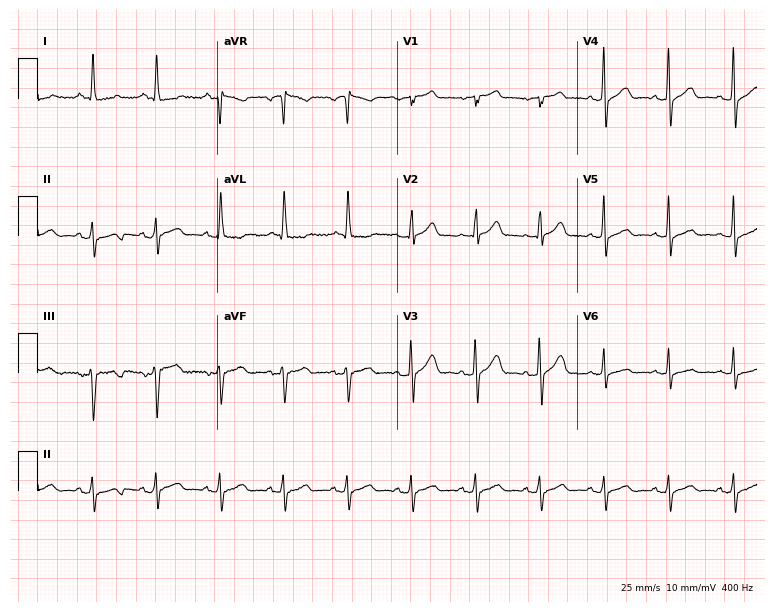
Resting 12-lead electrocardiogram. Patient: a 73-year-old male. None of these six findings is recorded: first-degree AV block, right bundle branch block, left bundle branch block, sinus bradycardia, atrial fibrillation, sinus tachycardia.